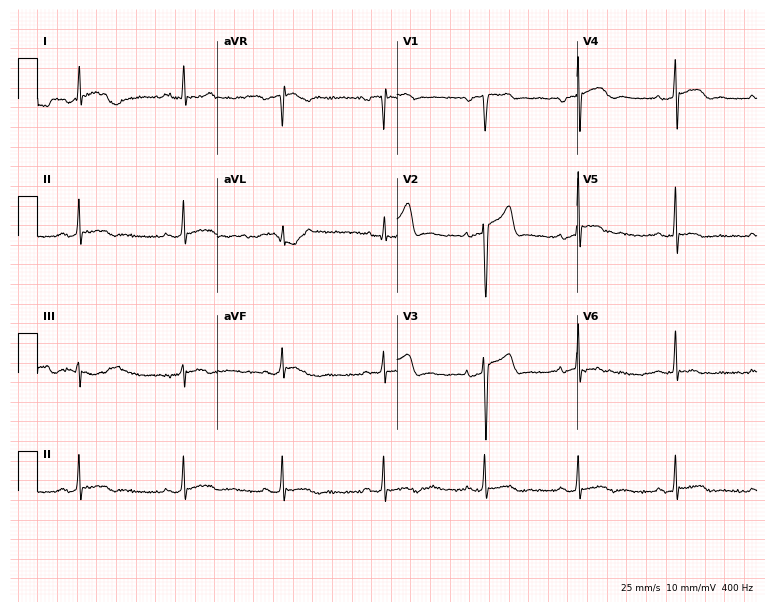
ECG — a male patient, 45 years old. Screened for six findings — first-degree AV block, right bundle branch block, left bundle branch block, sinus bradycardia, atrial fibrillation, sinus tachycardia — none is recorded.